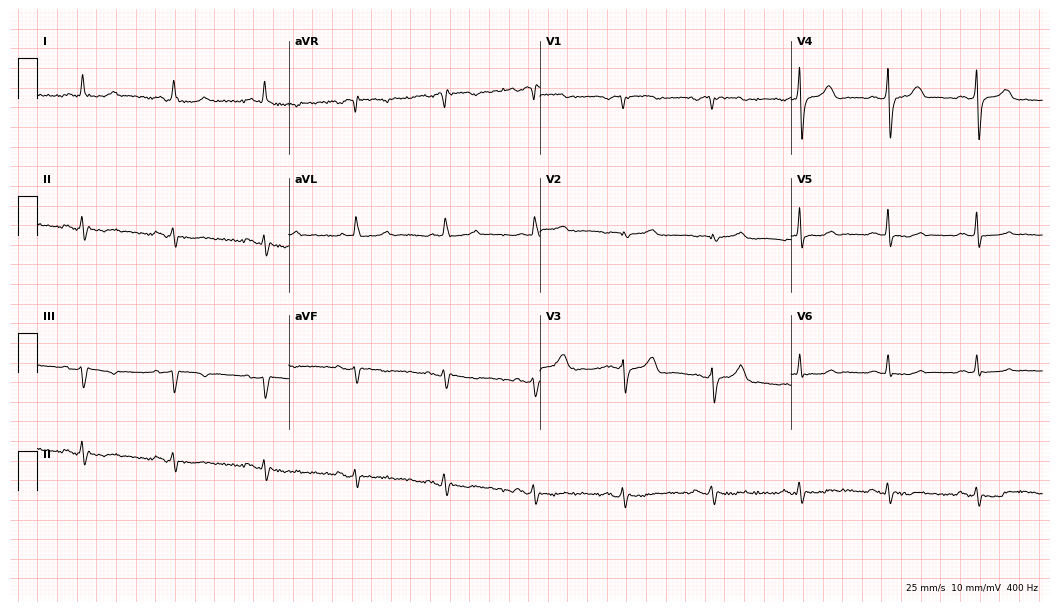
Resting 12-lead electrocardiogram. Patient: a male, 78 years old. None of these six findings is recorded: first-degree AV block, right bundle branch block, left bundle branch block, sinus bradycardia, atrial fibrillation, sinus tachycardia.